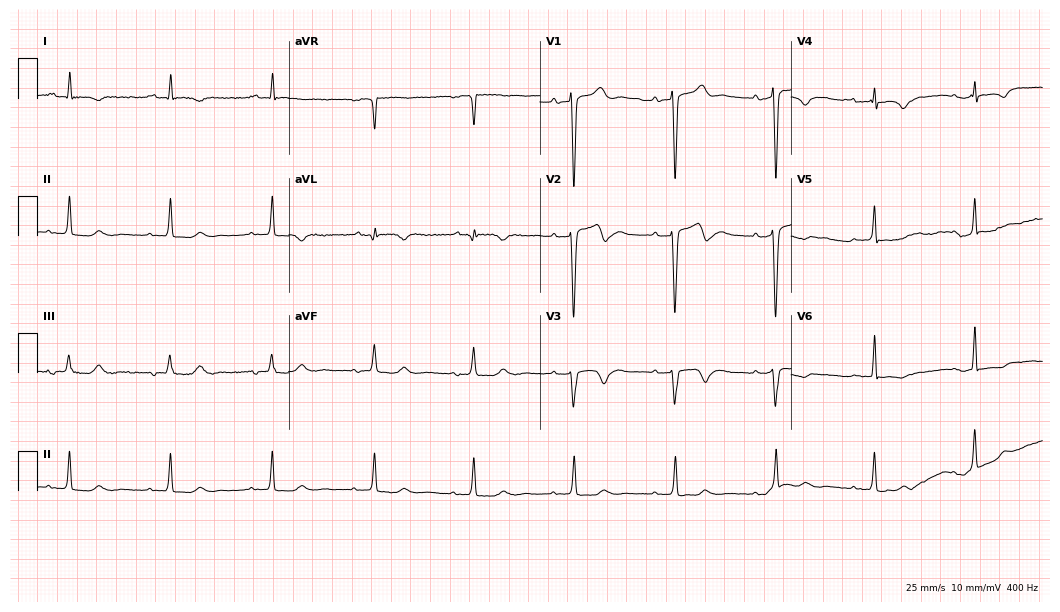
Electrocardiogram (10.2-second recording at 400 Hz), a man aged 90 or older. Of the six screened findings (first-degree AV block, right bundle branch block (RBBB), left bundle branch block (LBBB), sinus bradycardia, atrial fibrillation (AF), sinus tachycardia), none is recorded. Findings outside these six are not listed.